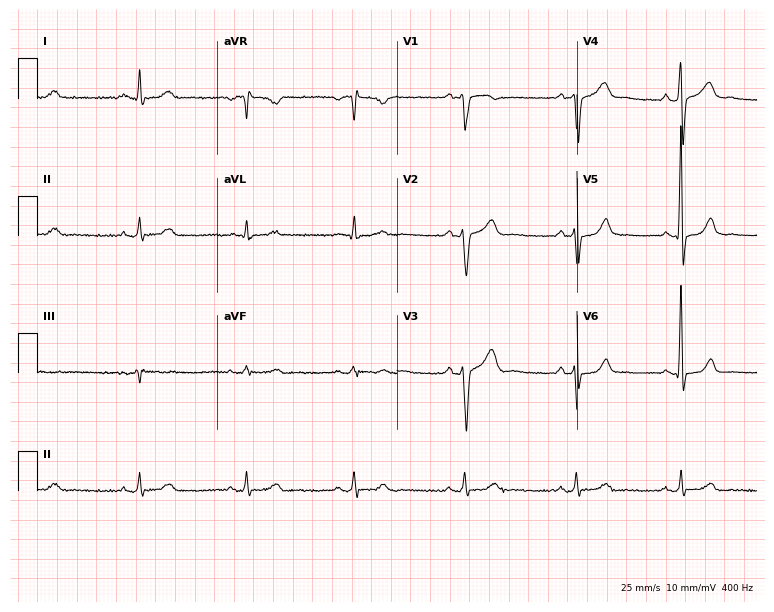
Electrocardiogram, a male patient, 44 years old. Overall reading on record: normal ECG.